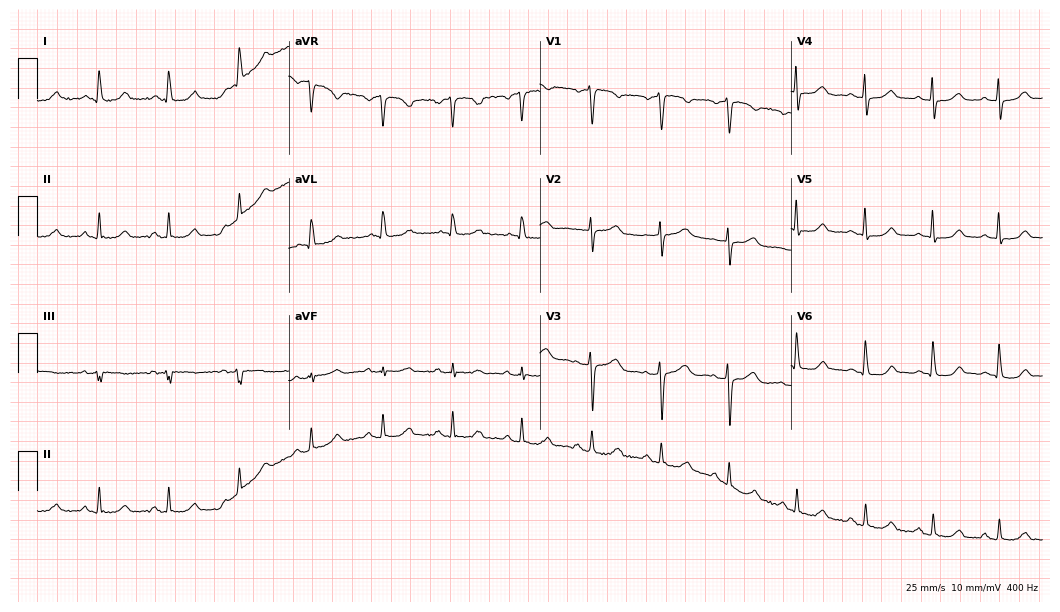
ECG — a 54-year-old woman. Screened for six findings — first-degree AV block, right bundle branch block (RBBB), left bundle branch block (LBBB), sinus bradycardia, atrial fibrillation (AF), sinus tachycardia — none is recorded.